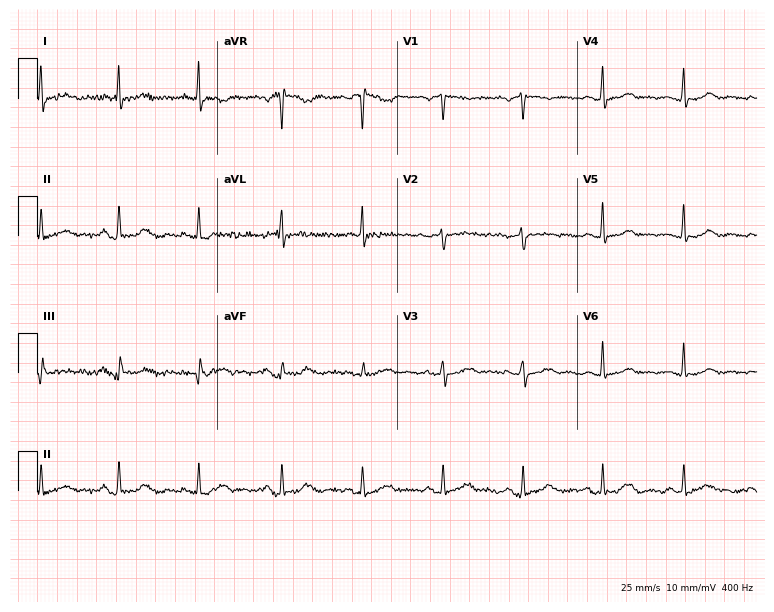
Electrocardiogram (7.3-second recording at 400 Hz), a 65-year-old female patient. Of the six screened findings (first-degree AV block, right bundle branch block (RBBB), left bundle branch block (LBBB), sinus bradycardia, atrial fibrillation (AF), sinus tachycardia), none is recorded. Other findings, if any, are not listed.